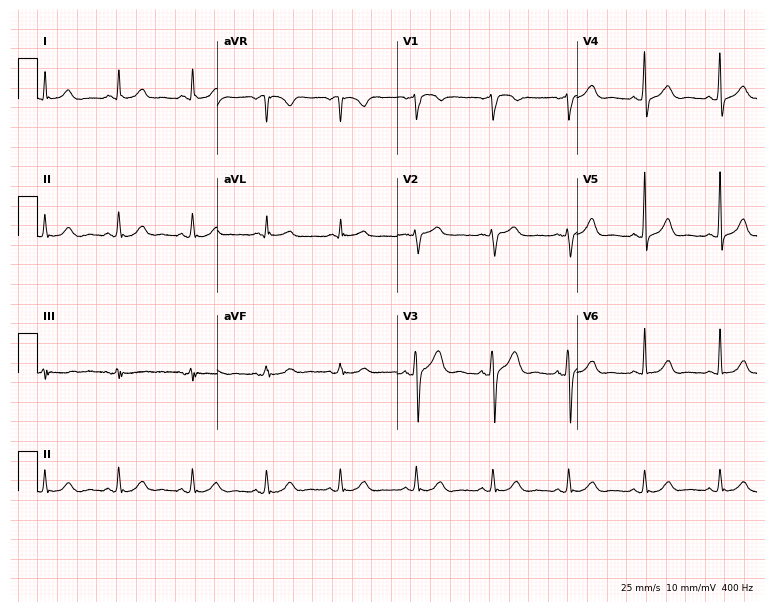
12-lead ECG from a male, 60 years old. Labelled as a normal ECG.